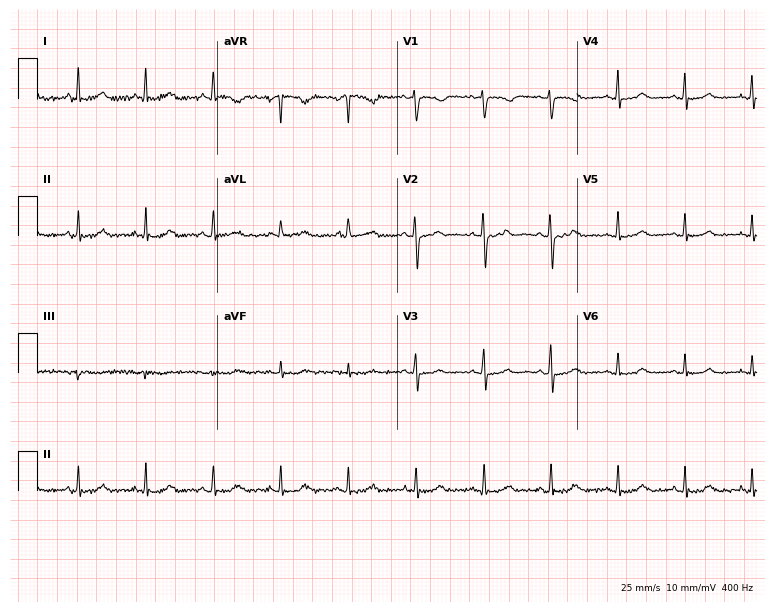
Electrocardiogram, a 57-year-old woman. Overall reading on record: normal ECG.